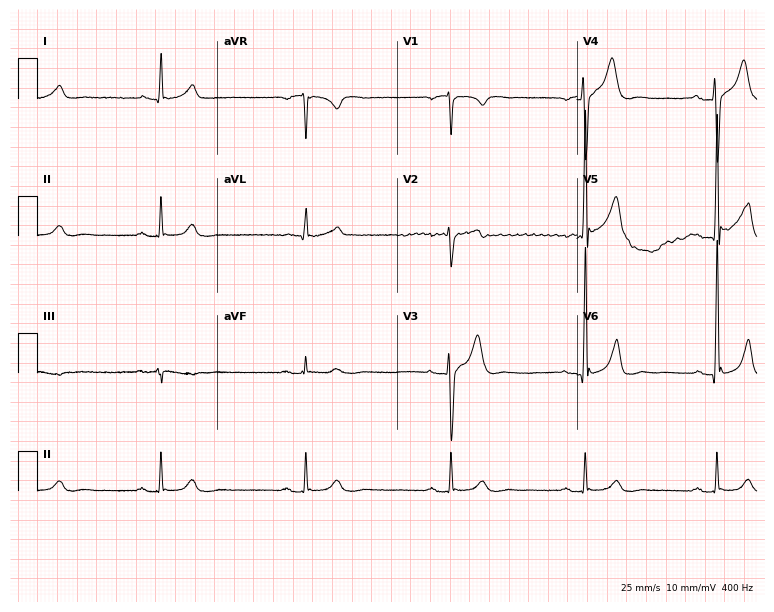
Standard 12-lead ECG recorded from a 63-year-old male (7.3-second recording at 400 Hz). The tracing shows sinus bradycardia (a sinus rate of 50 beats per minute or less).